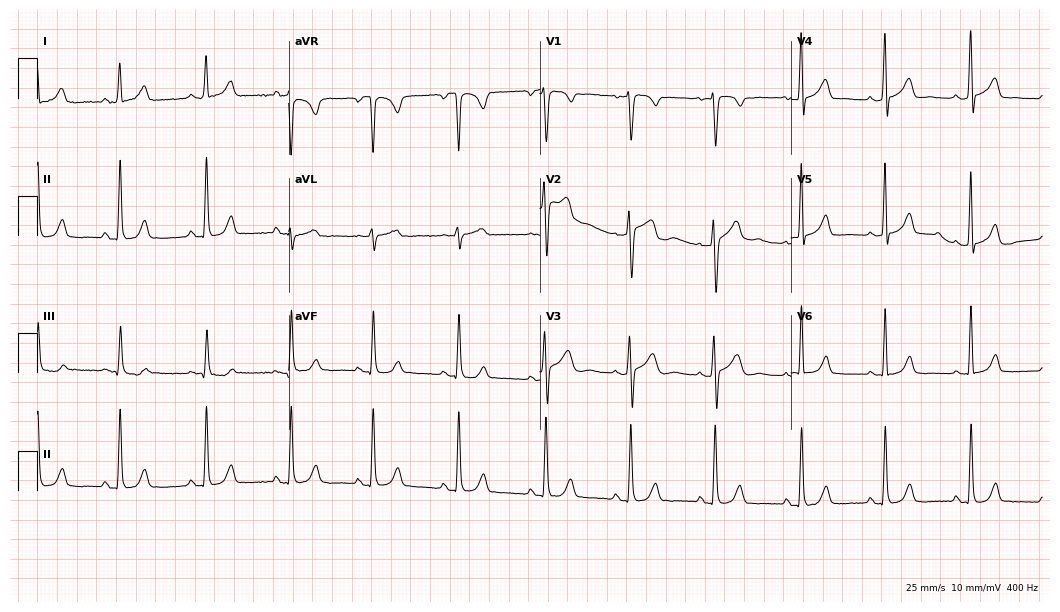
Resting 12-lead electrocardiogram (10.2-second recording at 400 Hz). Patient: a 36-year-old woman. None of these six findings is recorded: first-degree AV block, right bundle branch block, left bundle branch block, sinus bradycardia, atrial fibrillation, sinus tachycardia. Only these six findings were labelled.